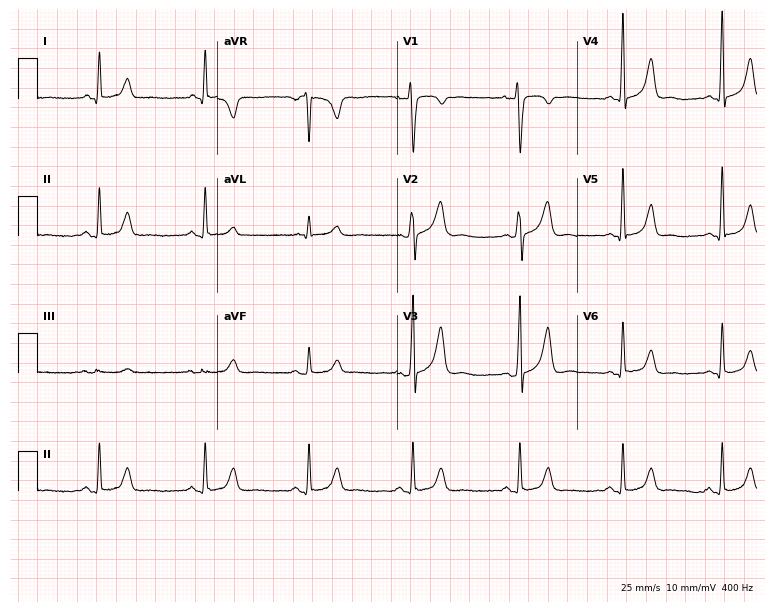
12-lead ECG from a 26-year-old female. Screened for six findings — first-degree AV block, right bundle branch block (RBBB), left bundle branch block (LBBB), sinus bradycardia, atrial fibrillation (AF), sinus tachycardia — none is recorded.